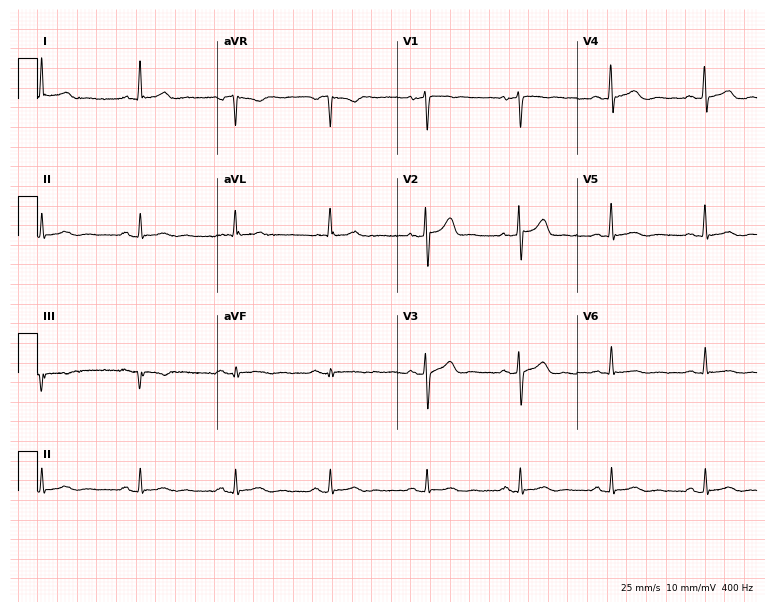
Standard 12-lead ECG recorded from a 45-year-old man (7.3-second recording at 400 Hz). None of these six findings is recorded: first-degree AV block, right bundle branch block, left bundle branch block, sinus bradycardia, atrial fibrillation, sinus tachycardia.